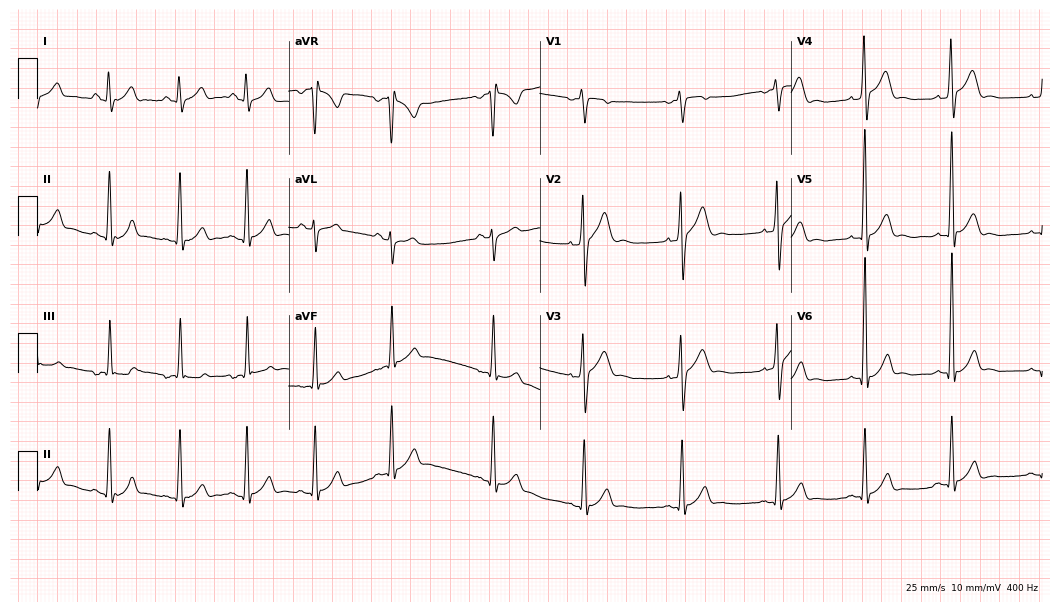
ECG — a 17-year-old male. Labelled as a normal ECG.